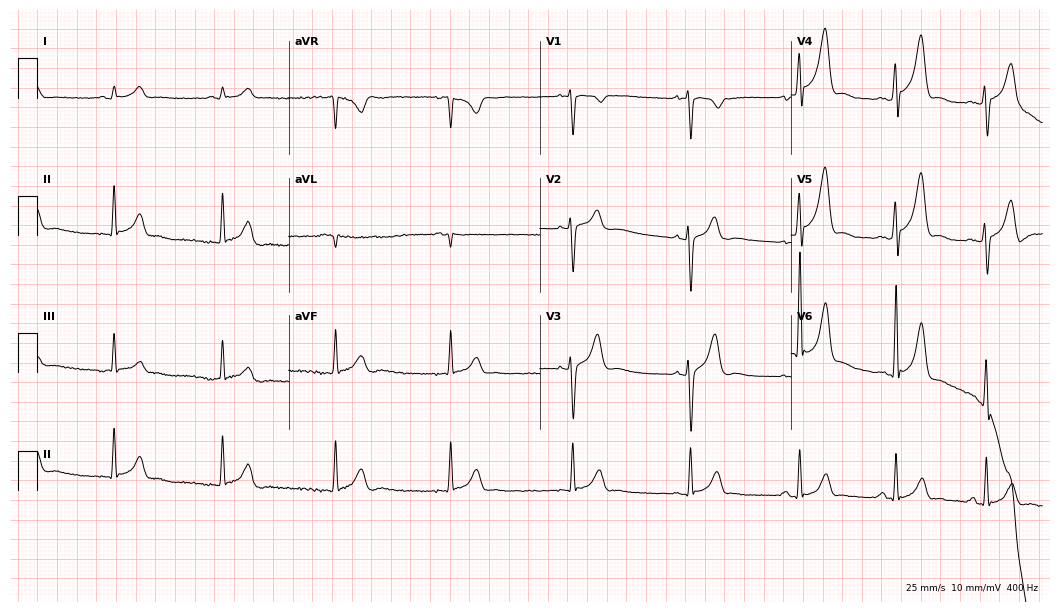
Electrocardiogram, a 23-year-old man. Of the six screened findings (first-degree AV block, right bundle branch block (RBBB), left bundle branch block (LBBB), sinus bradycardia, atrial fibrillation (AF), sinus tachycardia), none is recorded.